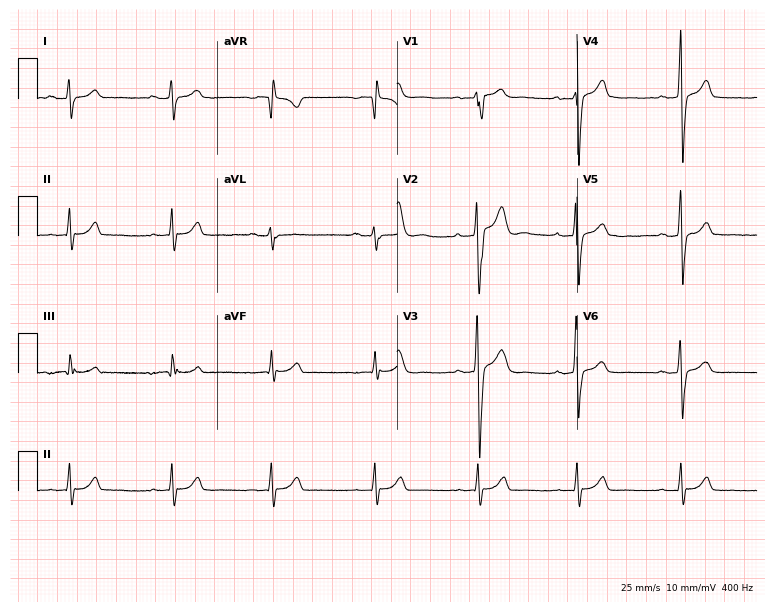
12-lead ECG from a 26-year-old male patient. No first-degree AV block, right bundle branch block, left bundle branch block, sinus bradycardia, atrial fibrillation or sinus tachycardia recorded for this tracing. Only these six findings were labelled.